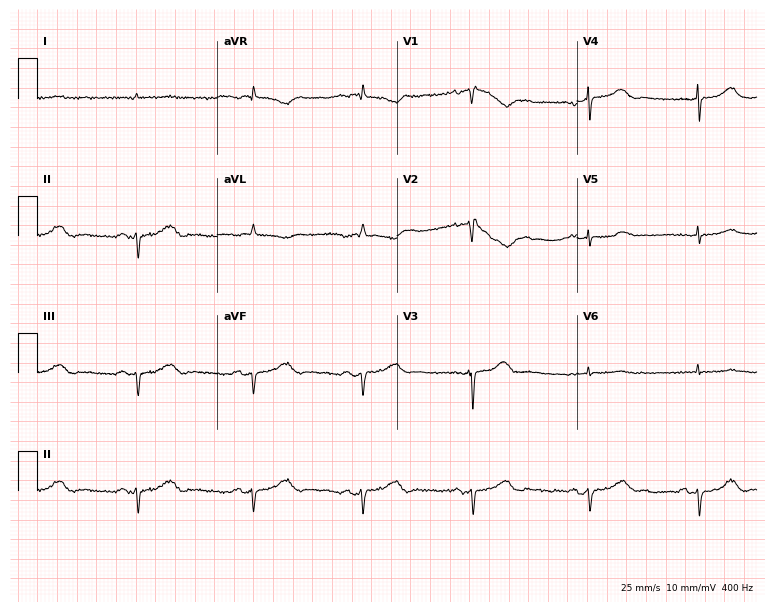
12-lead ECG from a 78-year-old male. No first-degree AV block, right bundle branch block, left bundle branch block, sinus bradycardia, atrial fibrillation or sinus tachycardia recorded for this tracing. Only these six findings were labelled.